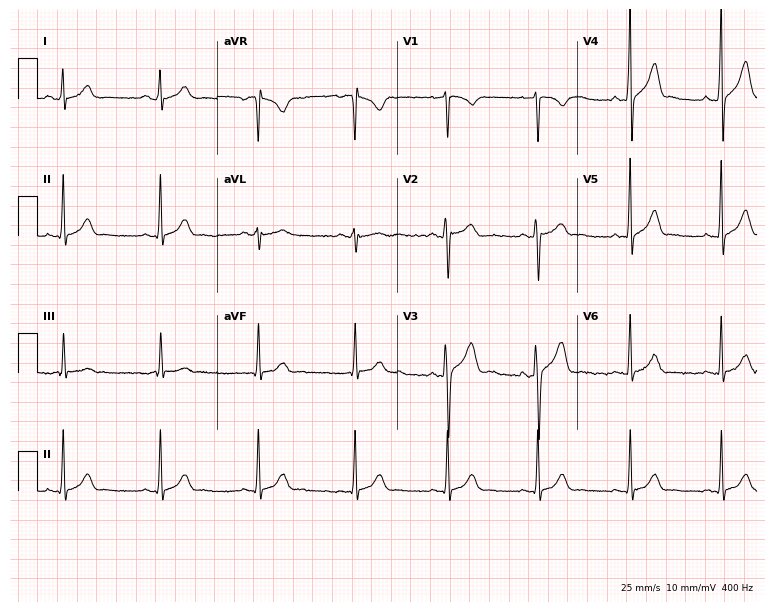
Standard 12-lead ECG recorded from a male patient, 23 years old (7.3-second recording at 400 Hz). Read as a normal ECG.